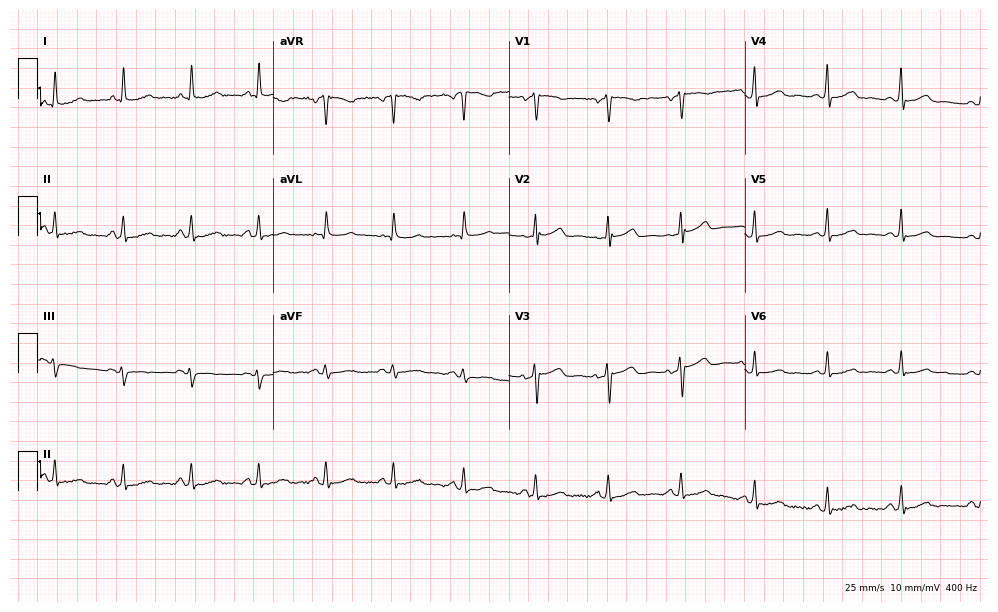
Standard 12-lead ECG recorded from a 56-year-old female (9.6-second recording at 400 Hz). Read as a normal ECG.